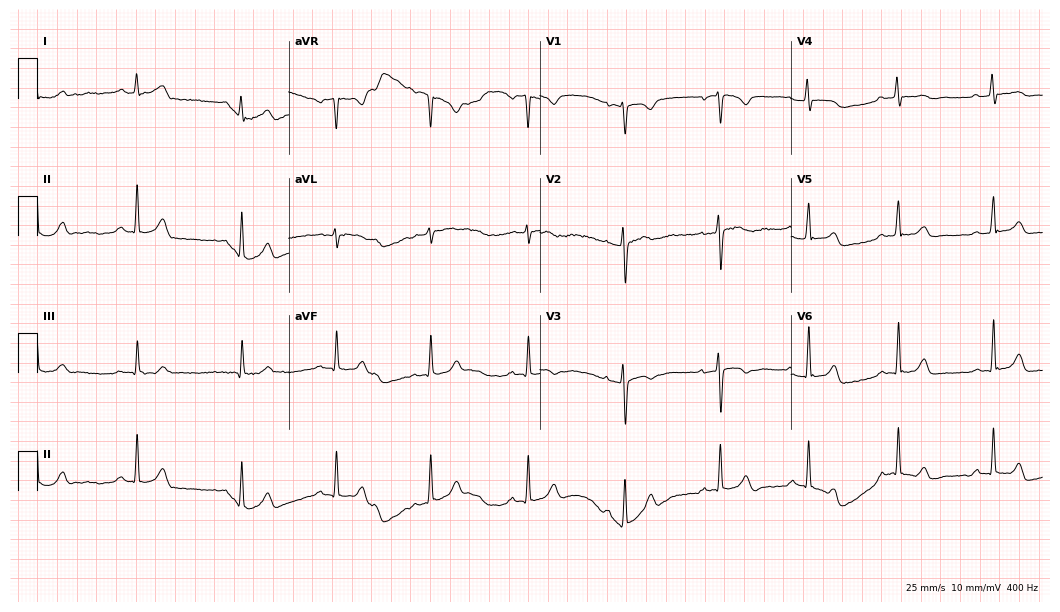
12-lead ECG from a female patient, 26 years old. Recorded interpretation: within normal limits.